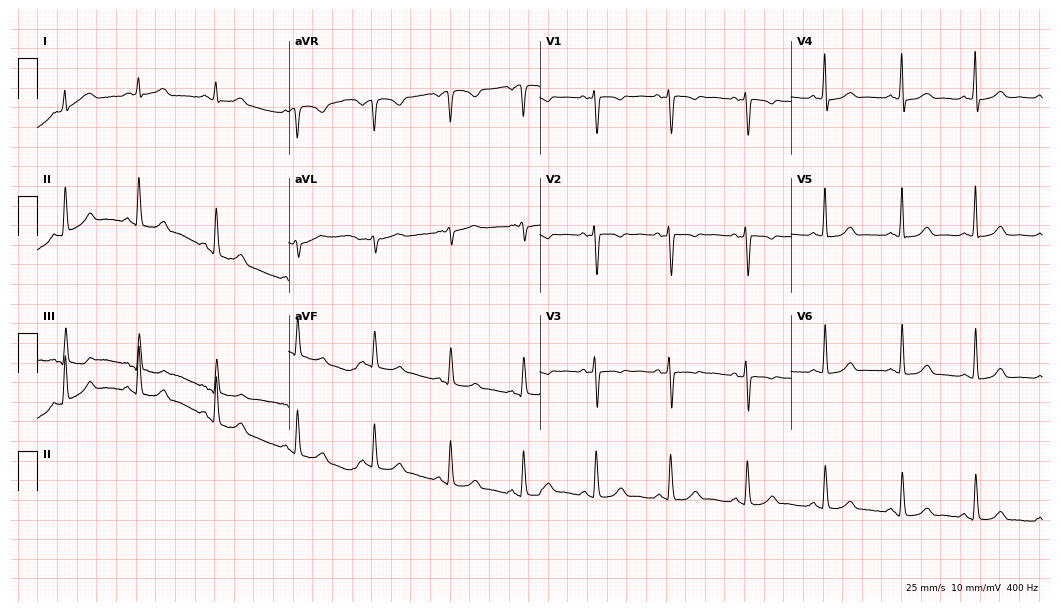
ECG (10.2-second recording at 400 Hz) — a woman, 42 years old. Screened for six findings — first-degree AV block, right bundle branch block, left bundle branch block, sinus bradycardia, atrial fibrillation, sinus tachycardia — none is recorded. Only these six findings were labelled.